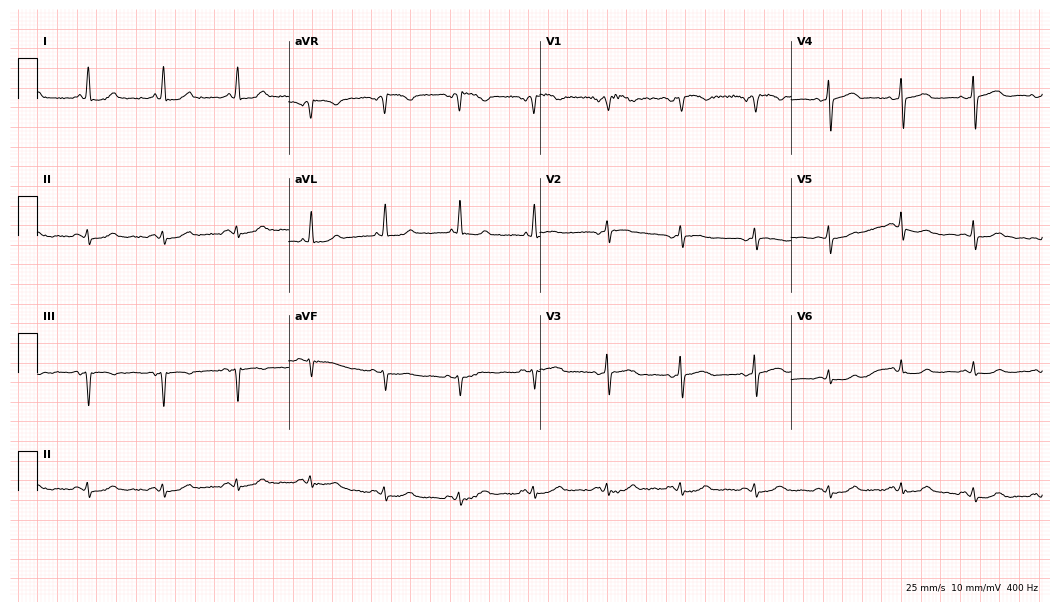
Standard 12-lead ECG recorded from a female patient, 84 years old. None of these six findings is recorded: first-degree AV block, right bundle branch block, left bundle branch block, sinus bradycardia, atrial fibrillation, sinus tachycardia.